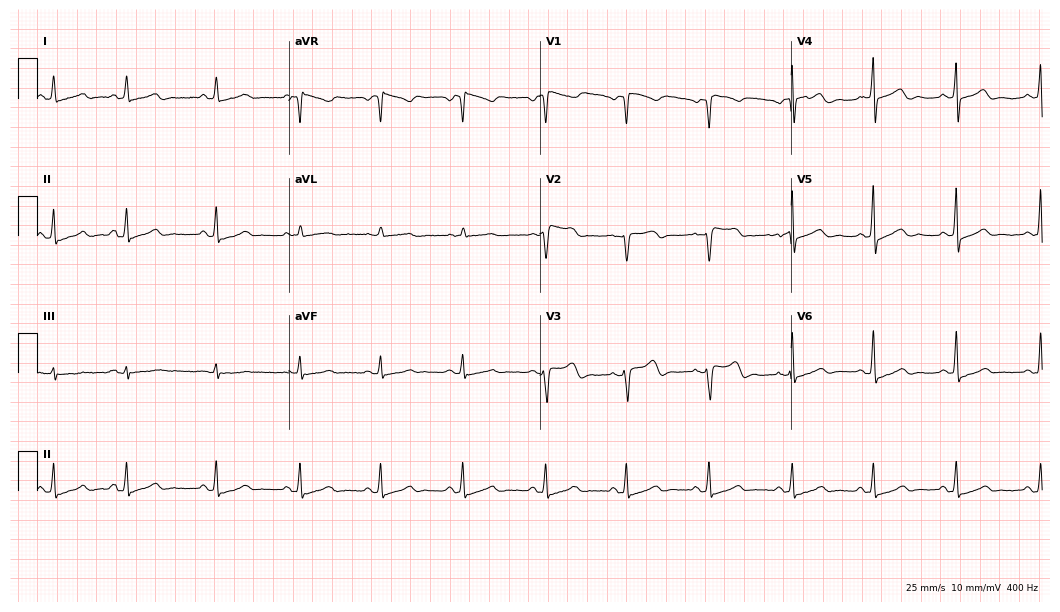
ECG (10.2-second recording at 400 Hz) — a 77-year-old female patient. Screened for six findings — first-degree AV block, right bundle branch block, left bundle branch block, sinus bradycardia, atrial fibrillation, sinus tachycardia — none is recorded.